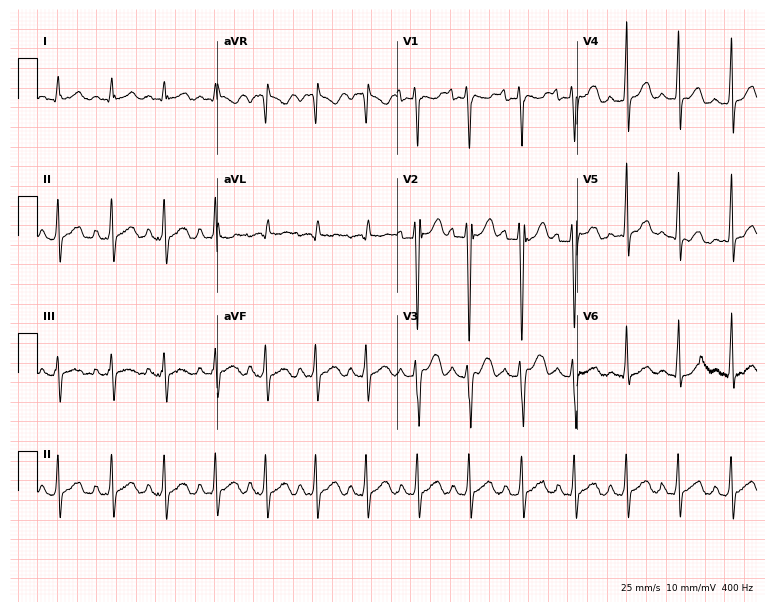
ECG (7.3-second recording at 400 Hz) — a 27-year-old female. Findings include sinus tachycardia (a sinus rate of 100 beats per minute or more).